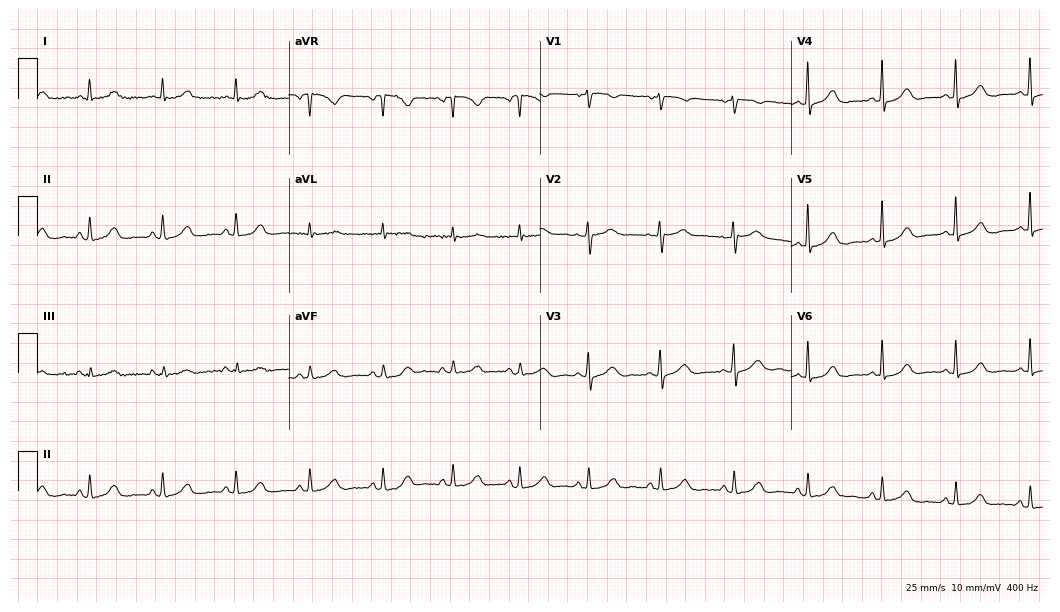
Standard 12-lead ECG recorded from a female patient, 61 years old. Read as a normal ECG.